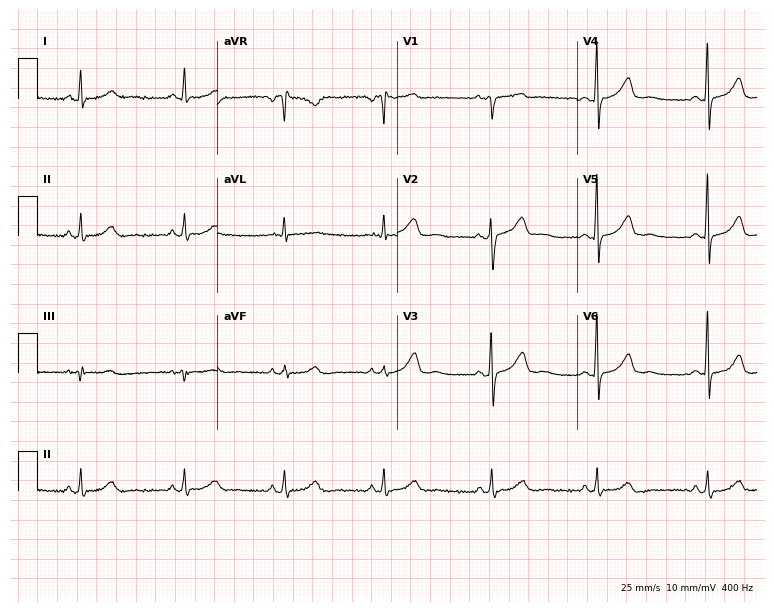
Resting 12-lead electrocardiogram (7.3-second recording at 400 Hz). Patient: a 38-year-old woman. Read as a normal ECG.